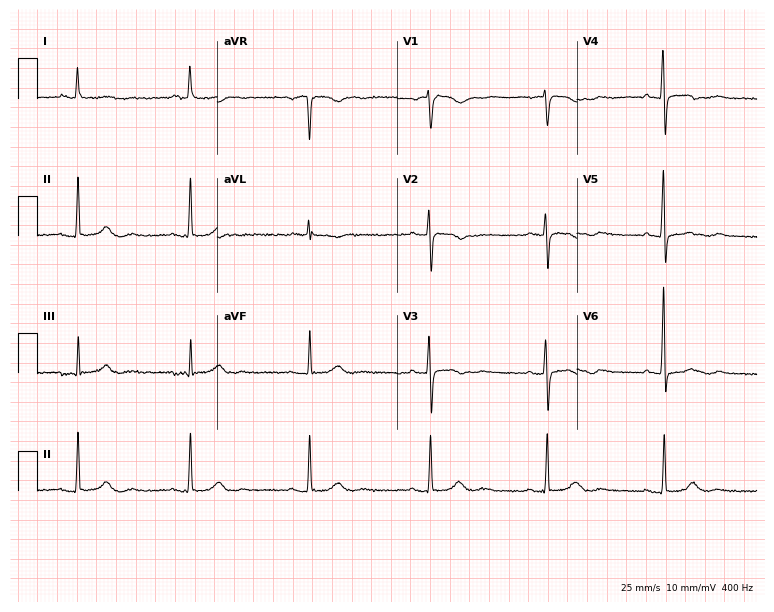
Standard 12-lead ECG recorded from a woman, 79 years old. None of these six findings is recorded: first-degree AV block, right bundle branch block, left bundle branch block, sinus bradycardia, atrial fibrillation, sinus tachycardia. Findings outside these six are not listed.